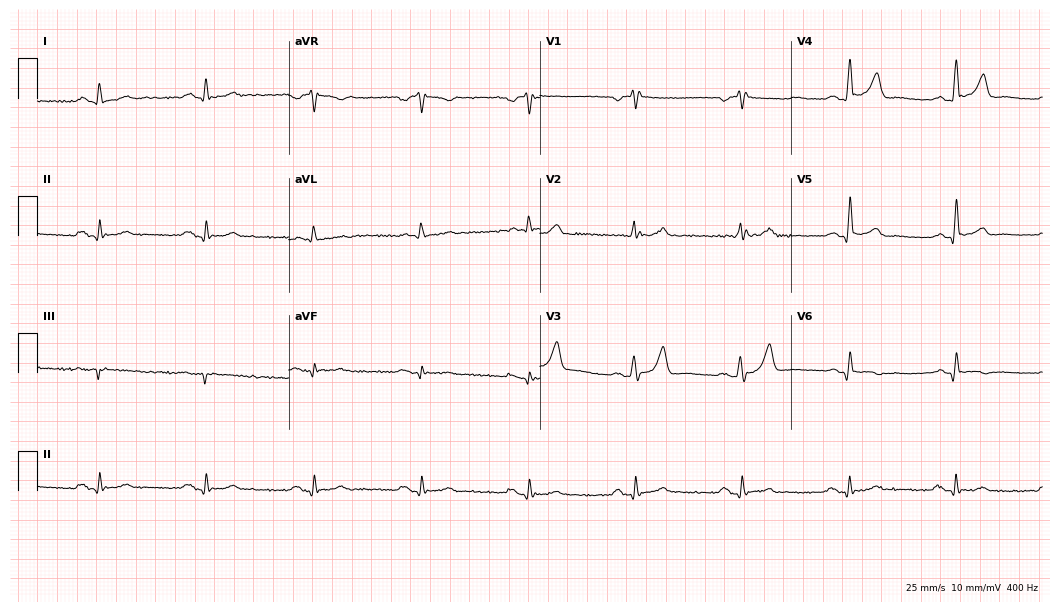
12-lead ECG from a man, 53 years old. No first-degree AV block, right bundle branch block, left bundle branch block, sinus bradycardia, atrial fibrillation or sinus tachycardia recorded for this tracing.